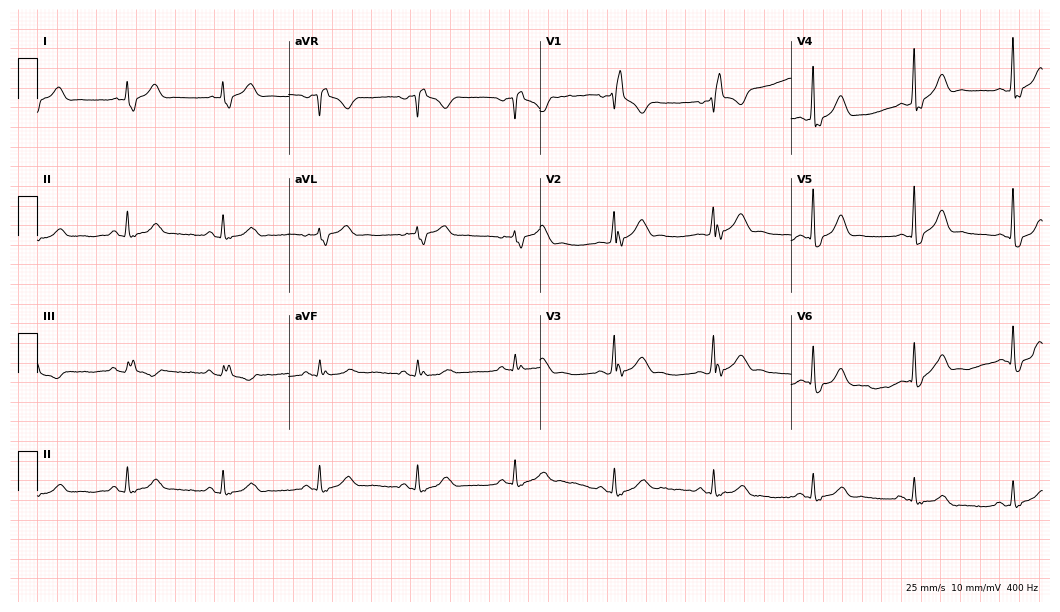
Electrocardiogram, a 53-year-old male. Interpretation includes right bundle branch block.